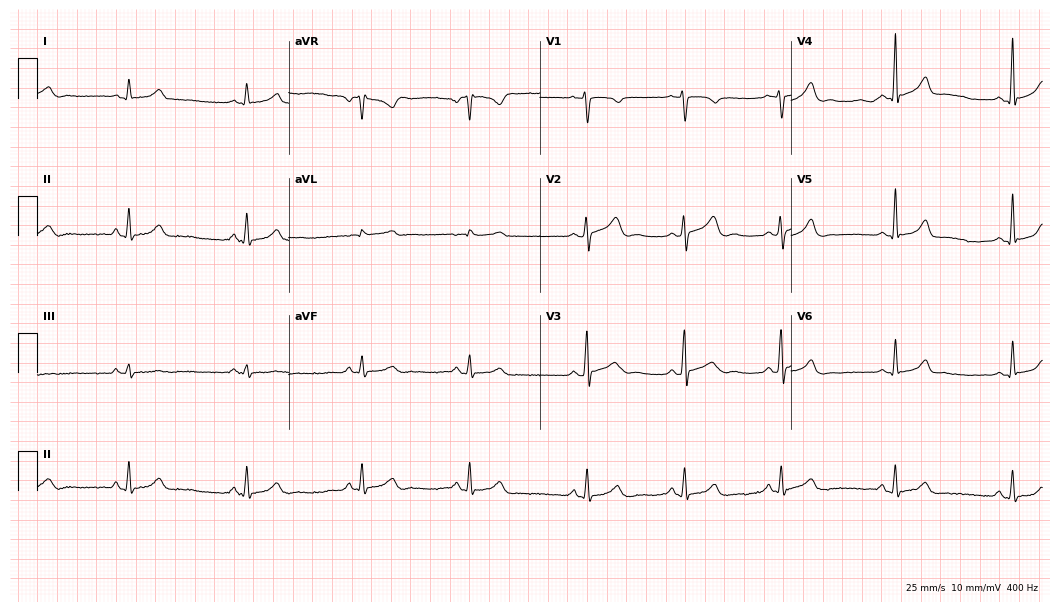
12-lead ECG (10.2-second recording at 400 Hz) from a 32-year-old female patient. Labelled as a normal ECG.